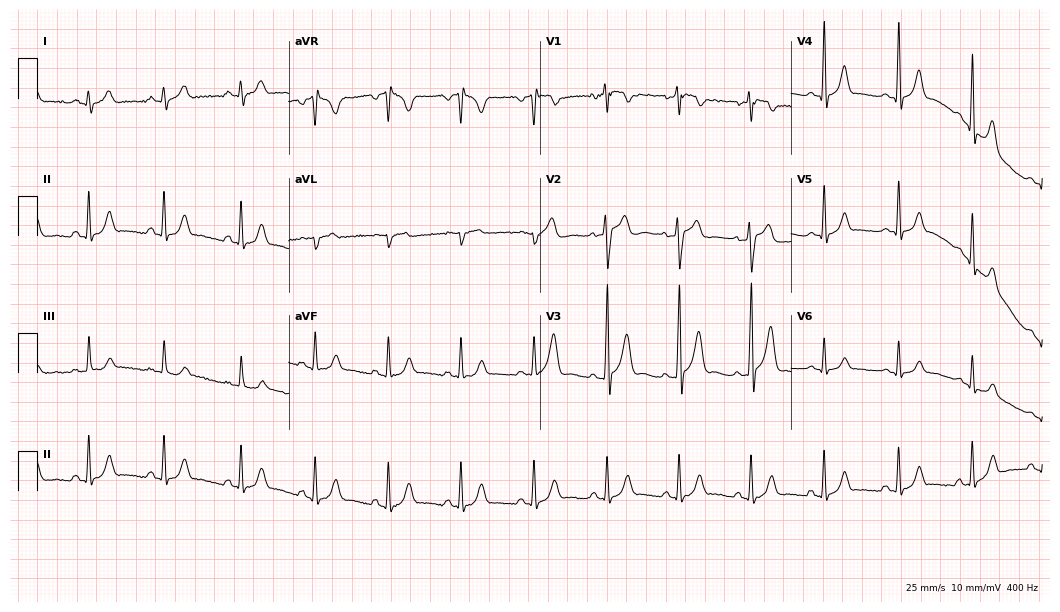
12-lead ECG from a 23-year-old male patient. Recorded interpretation: within normal limits.